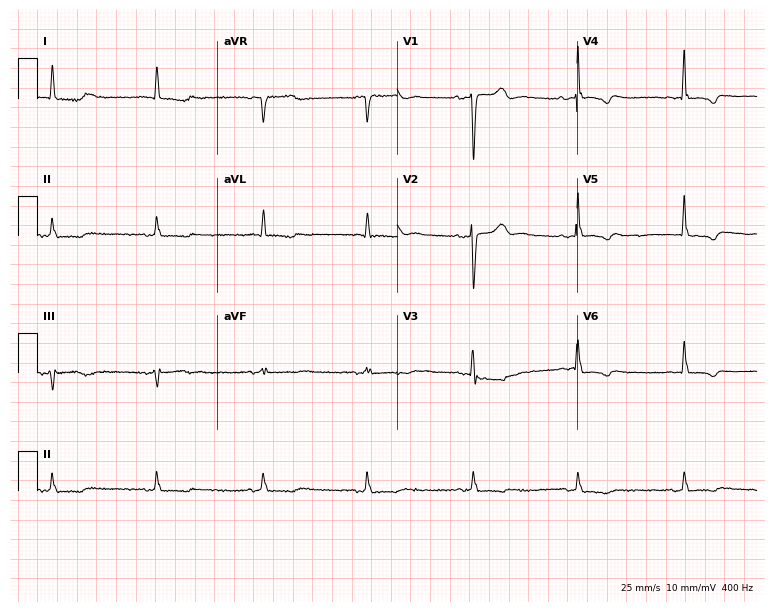
12-lead ECG from a 71-year-old female (7.3-second recording at 400 Hz). No first-degree AV block, right bundle branch block, left bundle branch block, sinus bradycardia, atrial fibrillation or sinus tachycardia recorded for this tracing.